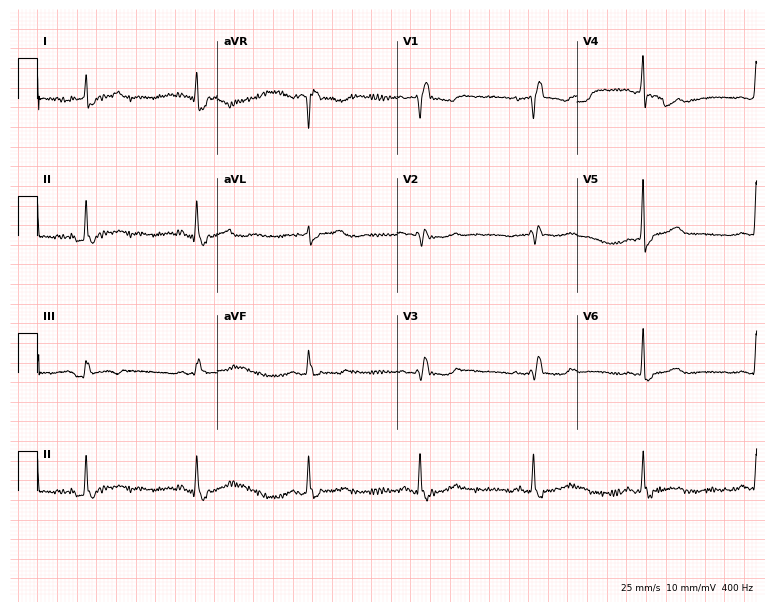
Resting 12-lead electrocardiogram. Patient: a woman, 76 years old. The tracing shows right bundle branch block.